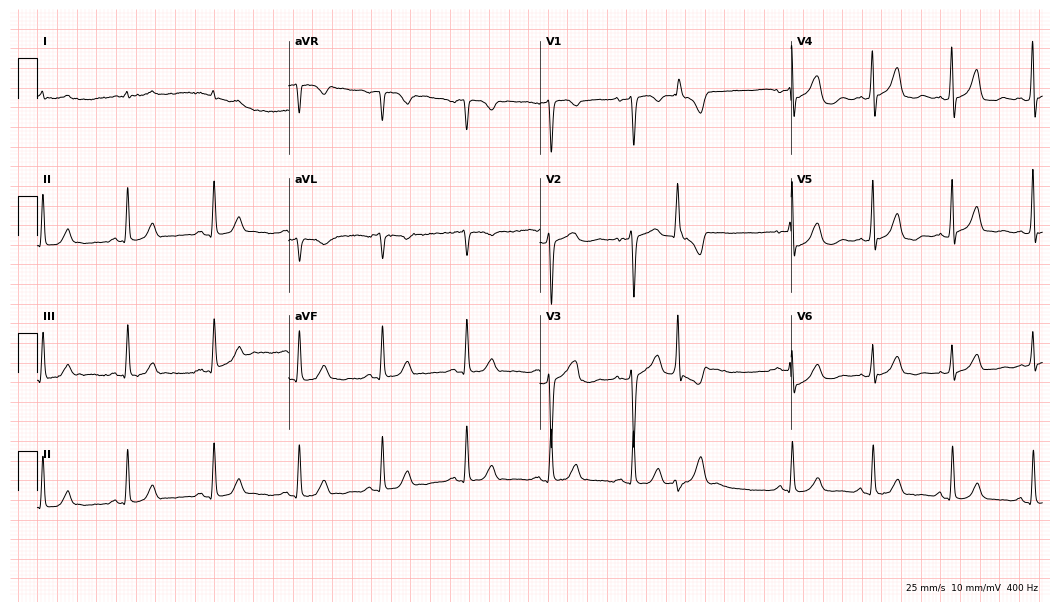
Electrocardiogram, an 84-year-old male patient. Overall reading on record: normal ECG.